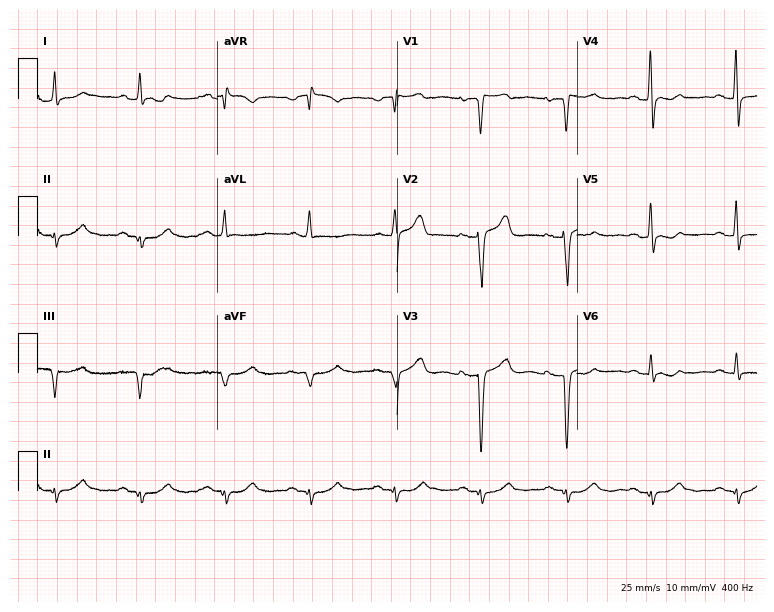
Standard 12-lead ECG recorded from a 67-year-old male. None of these six findings is recorded: first-degree AV block, right bundle branch block, left bundle branch block, sinus bradycardia, atrial fibrillation, sinus tachycardia. Only these six findings were labelled.